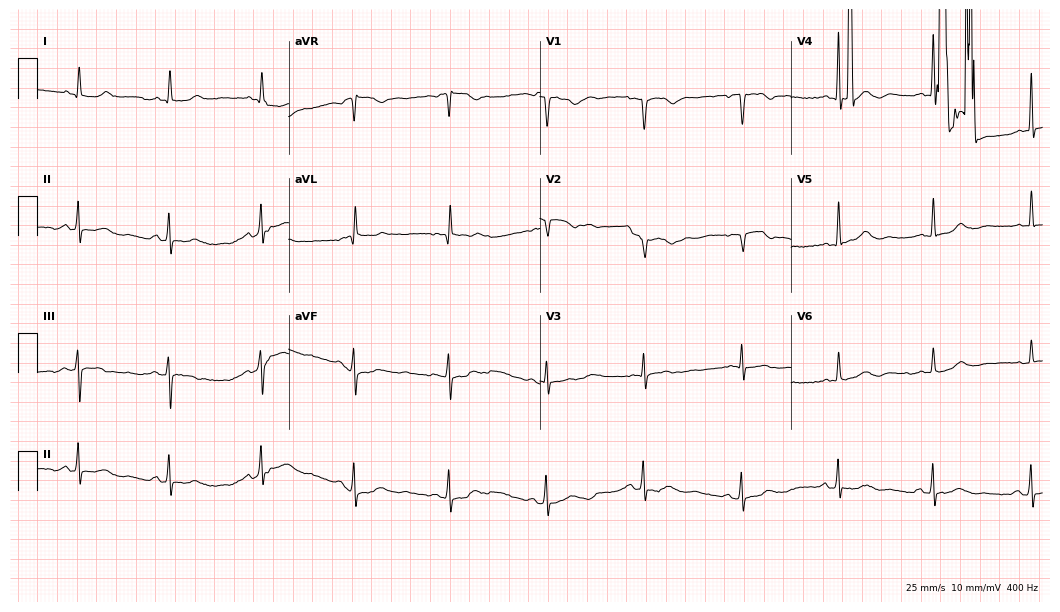
Standard 12-lead ECG recorded from a female patient, 68 years old (10.2-second recording at 400 Hz). None of these six findings is recorded: first-degree AV block, right bundle branch block (RBBB), left bundle branch block (LBBB), sinus bradycardia, atrial fibrillation (AF), sinus tachycardia. Only these six findings were labelled.